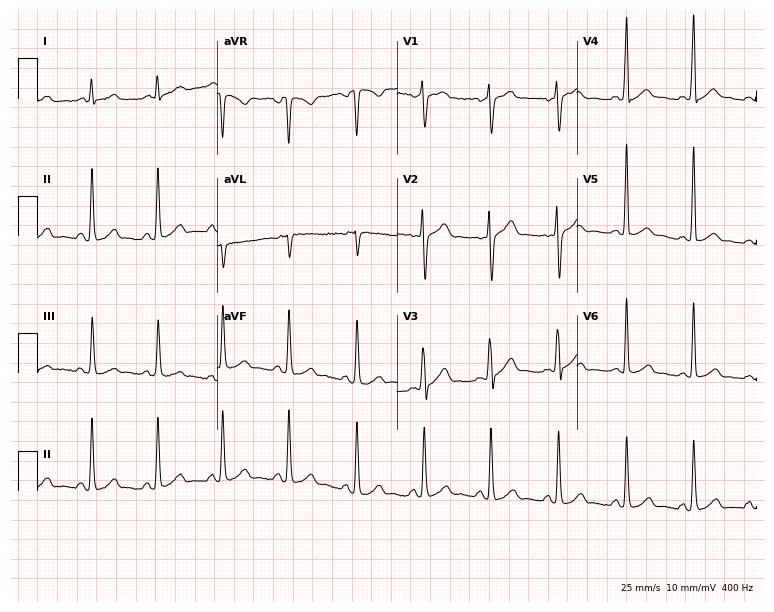
Standard 12-lead ECG recorded from a 27-year-old male patient (7.3-second recording at 400 Hz). None of these six findings is recorded: first-degree AV block, right bundle branch block, left bundle branch block, sinus bradycardia, atrial fibrillation, sinus tachycardia.